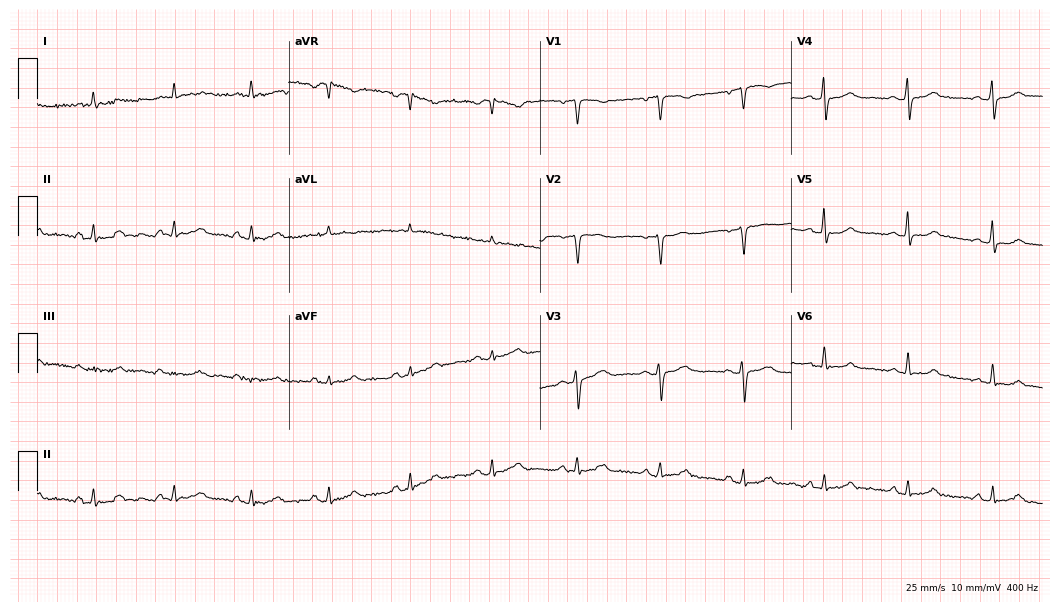
Electrocardiogram, a 47-year-old female. Of the six screened findings (first-degree AV block, right bundle branch block, left bundle branch block, sinus bradycardia, atrial fibrillation, sinus tachycardia), none is recorded. Only these six findings were labelled.